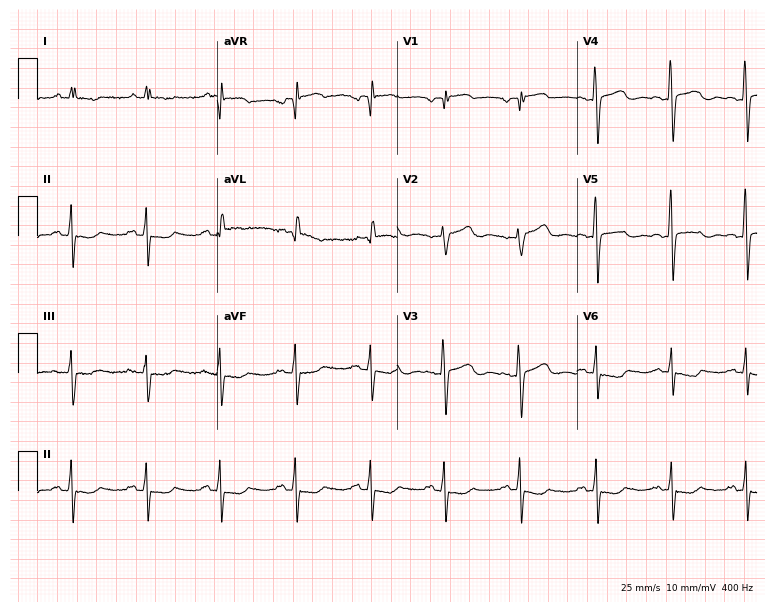
Standard 12-lead ECG recorded from a 45-year-old woman. None of these six findings is recorded: first-degree AV block, right bundle branch block, left bundle branch block, sinus bradycardia, atrial fibrillation, sinus tachycardia. Only these six findings were labelled.